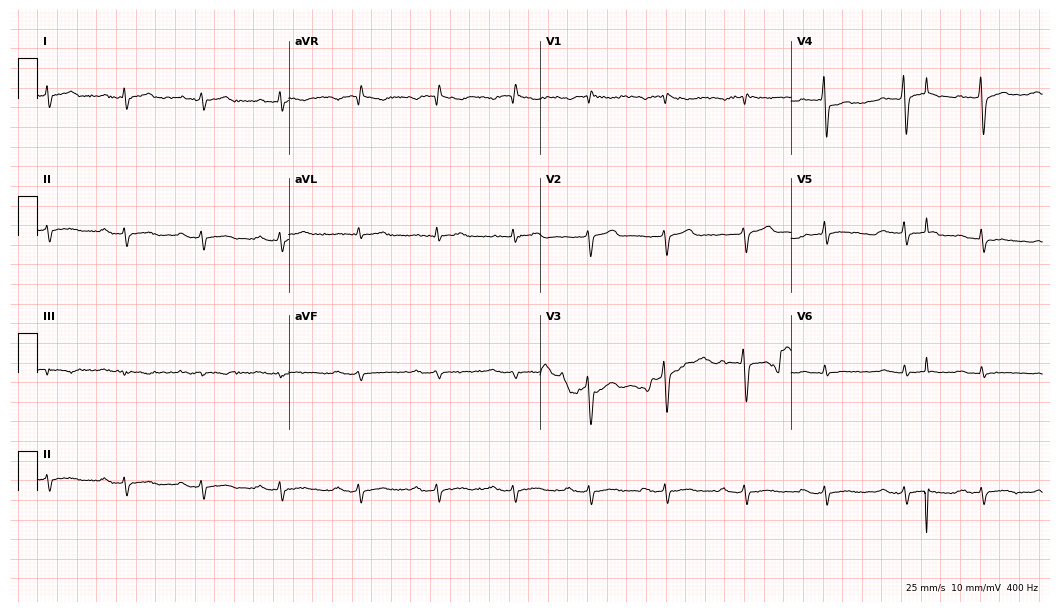
Standard 12-lead ECG recorded from a 54-year-old male. None of these six findings is recorded: first-degree AV block, right bundle branch block, left bundle branch block, sinus bradycardia, atrial fibrillation, sinus tachycardia. Other findings, if any, are not listed.